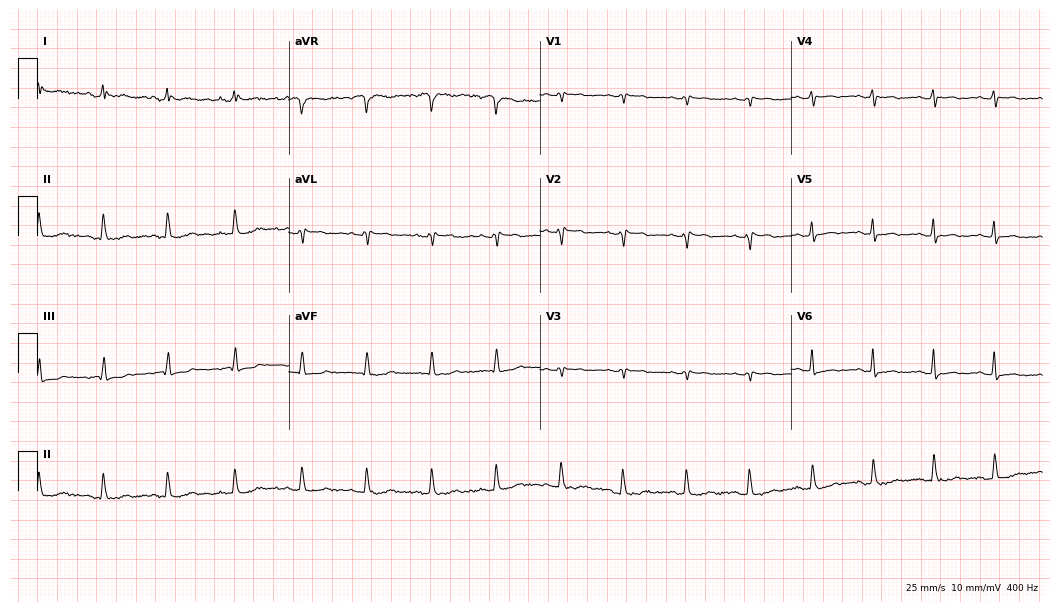
Resting 12-lead electrocardiogram (10.2-second recording at 400 Hz). Patient: a female, 45 years old. None of these six findings is recorded: first-degree AV block, right bundle branch block, left bundle branch block, sinus bradycardia, atrial fibrillation, sinus tachycardia.